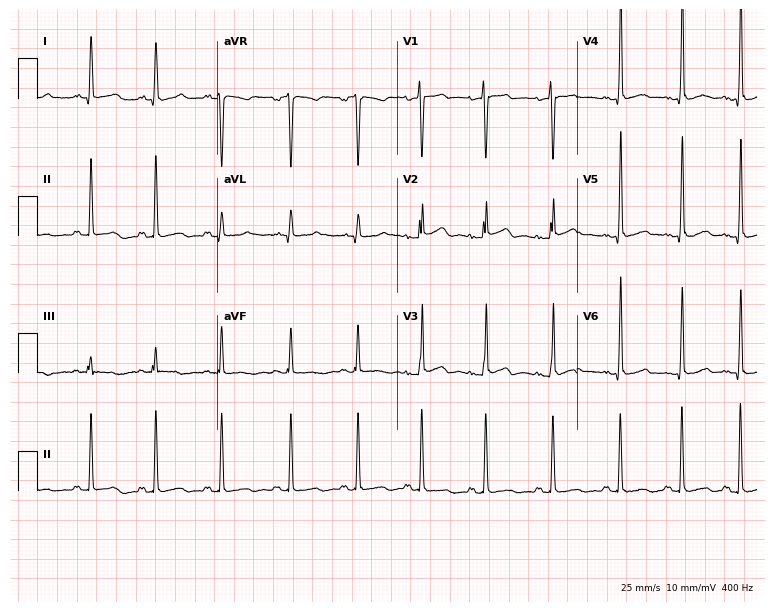
12-lead ECG (7.3-second recording at 400 Hz) from a female patient, 20 years old. Screened for six findings — first-degree AV block, right bundle branch block (RBBB), left bundle branch block (LBBB), sinus bradycardia, atrial fibrillation (AF), sinus tachycardia — none is recorded.